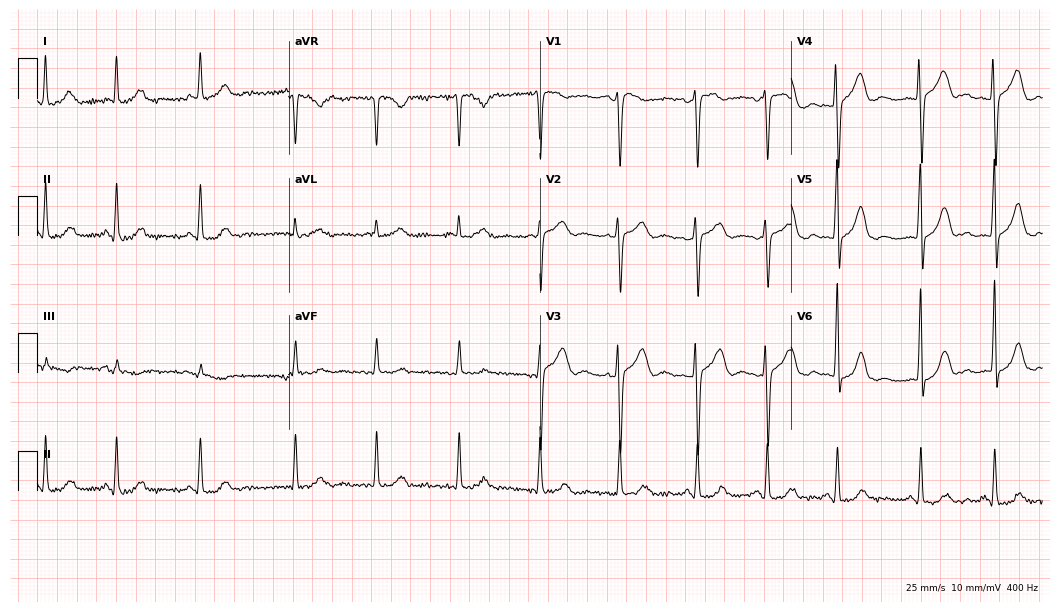
Electrocardiogram, a male, 34 years old. Of the six screened findings (first-degree AV block, right bundle branch block, left bundle branch block, sinus bradycardia, atrial fibrillation, sinus tachycardia), none is recorded.